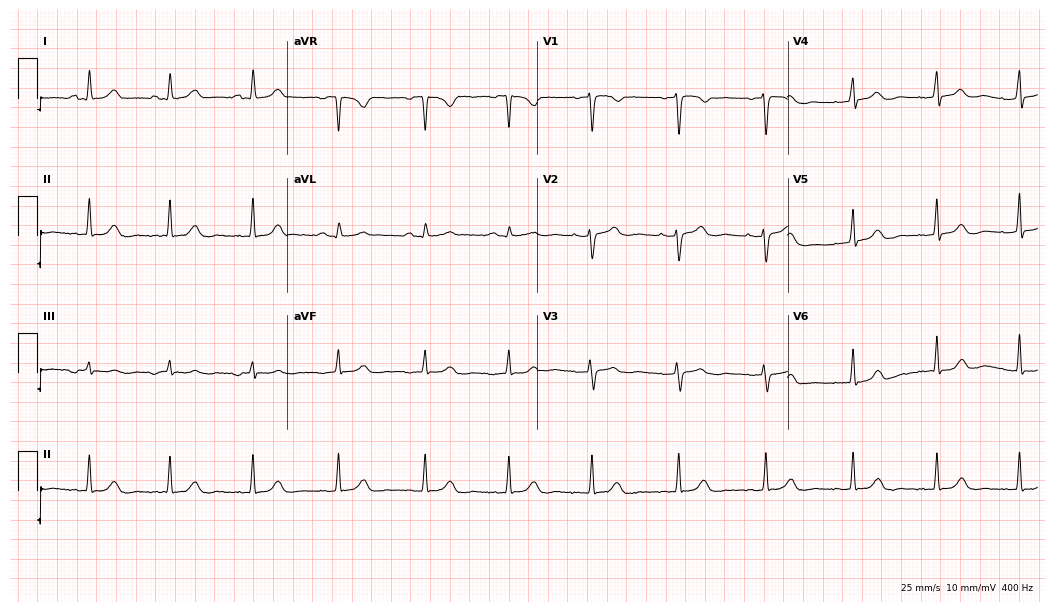
12-lead ECG from a 35-year-old female patient. Labelled as a normal ECG.